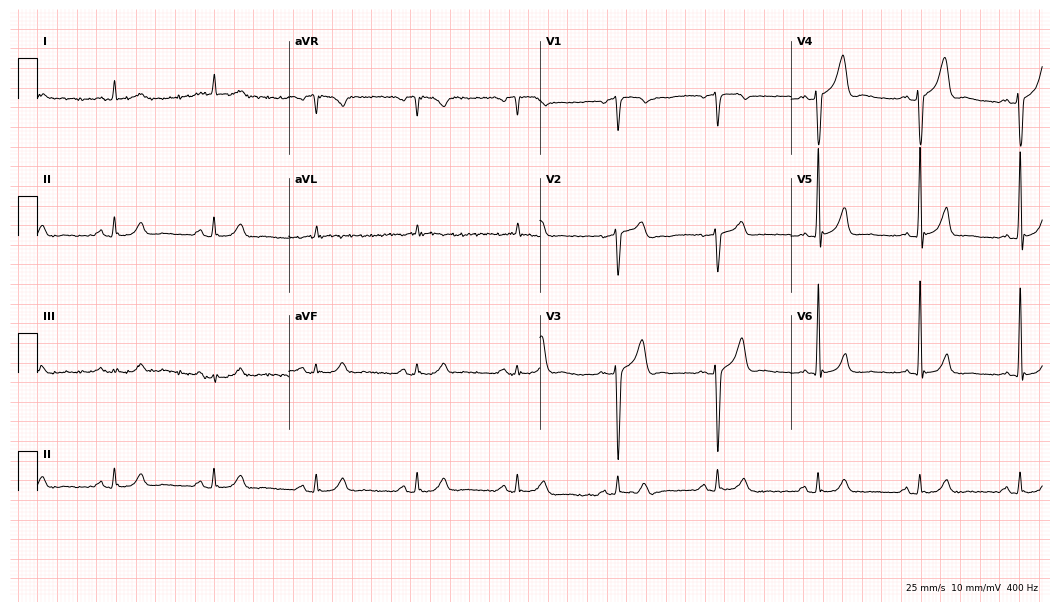
12-lead ECG from a 65-year-old male (10.2-second recording at 400 Hz). Recorded interpretation: within normal limits.